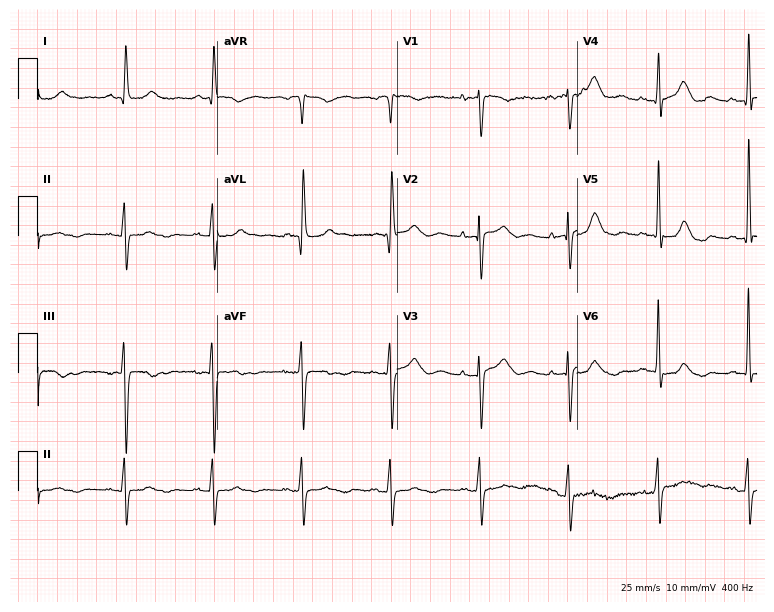
12-lead ECG from an 85-year-old woman. Recorded interpretation: within normal limits.